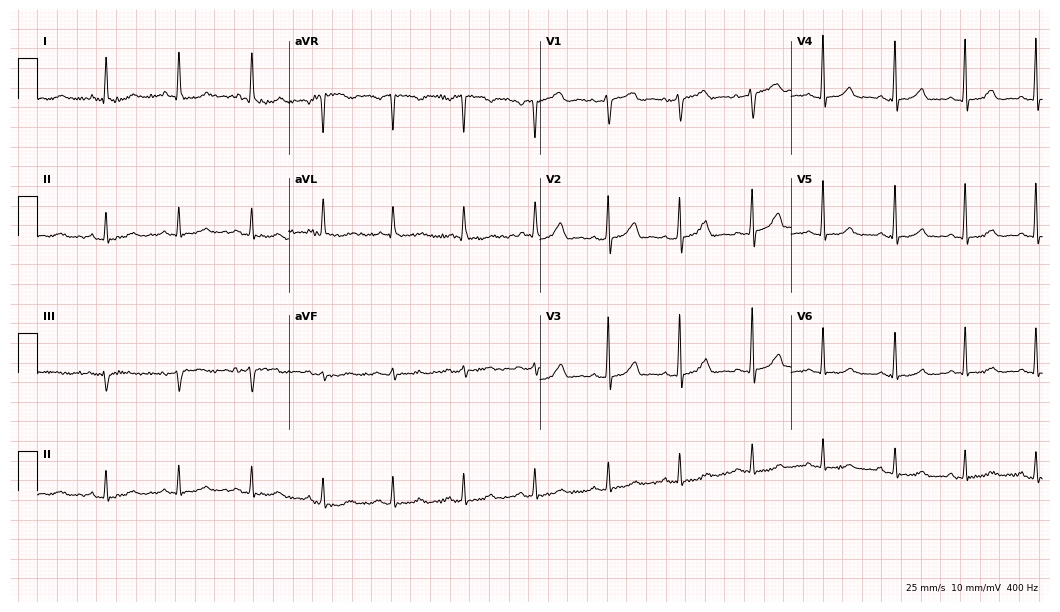
Resting 12-lead electrocardiogram. Patient: a female, 52 years old. Read as a normal ECG.